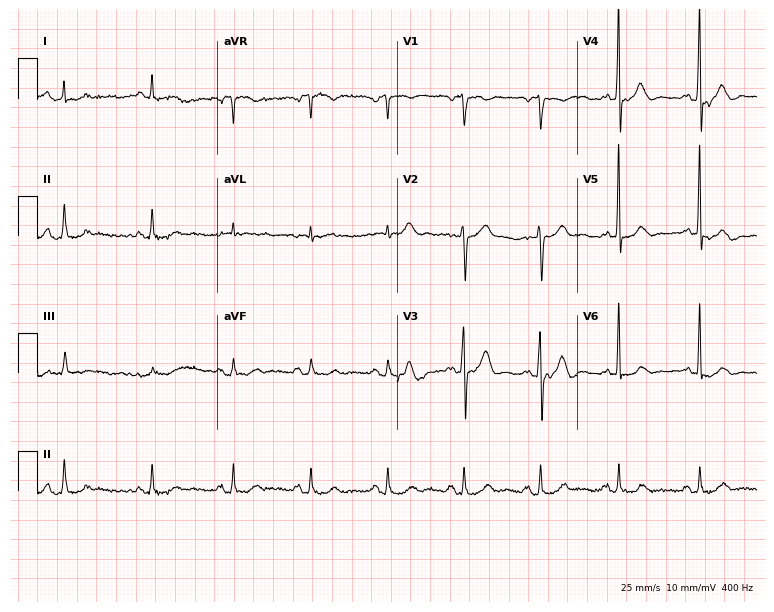
Resting 12-lead electrocardiogram (7.3-second recording at 400 Hz). Patient: a man, 80 years old. None of these six findings is recorded: first-degree AV block, right bundle branch block, left bundle branch block, sinus bradycardia, atrial fibrillation, sinus tachycardia.